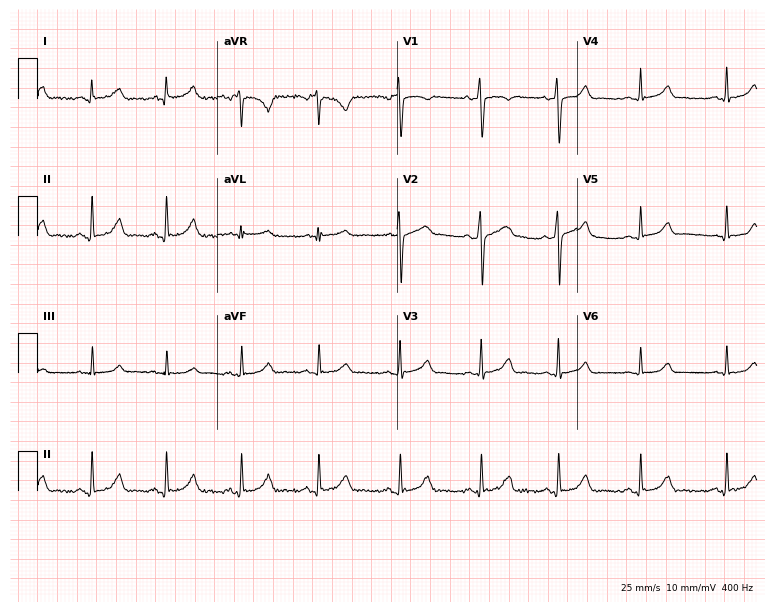
Resting 12-lead electrocardiogram. Patient: a 30-year-old woman. Read as a normal ECG.